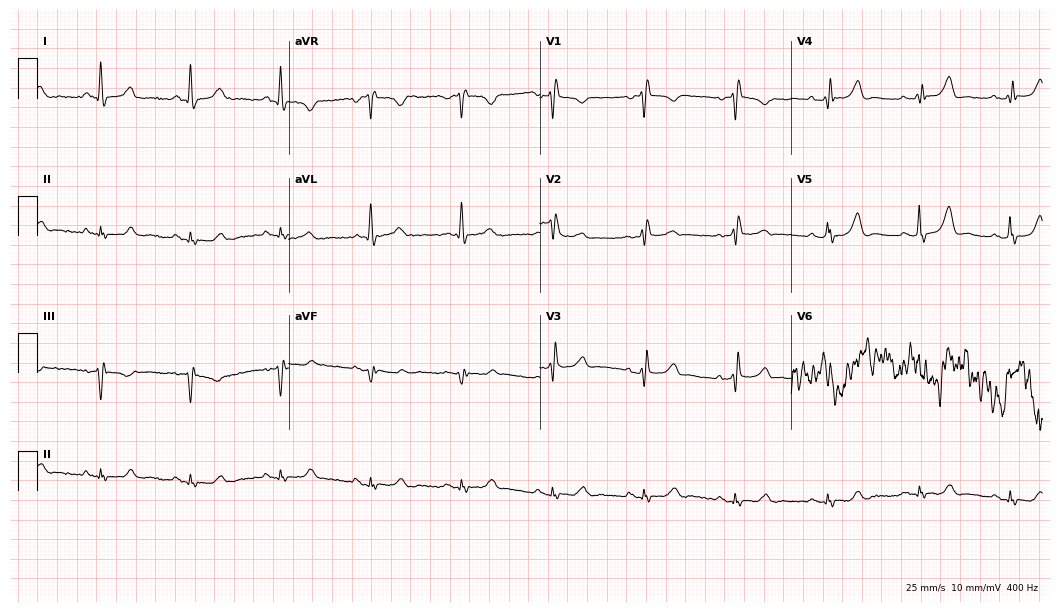
Electrocardiogram (10.2-second recording at 400 Hz), a 78-year-old female. Of the six screened findings (first-degree AV block, right bundle branch block (RBBB), left bundle branch block (LBBB), sinus bradycardia, atrial fibrillation (AF), sinus tachycardia), none is recorded.